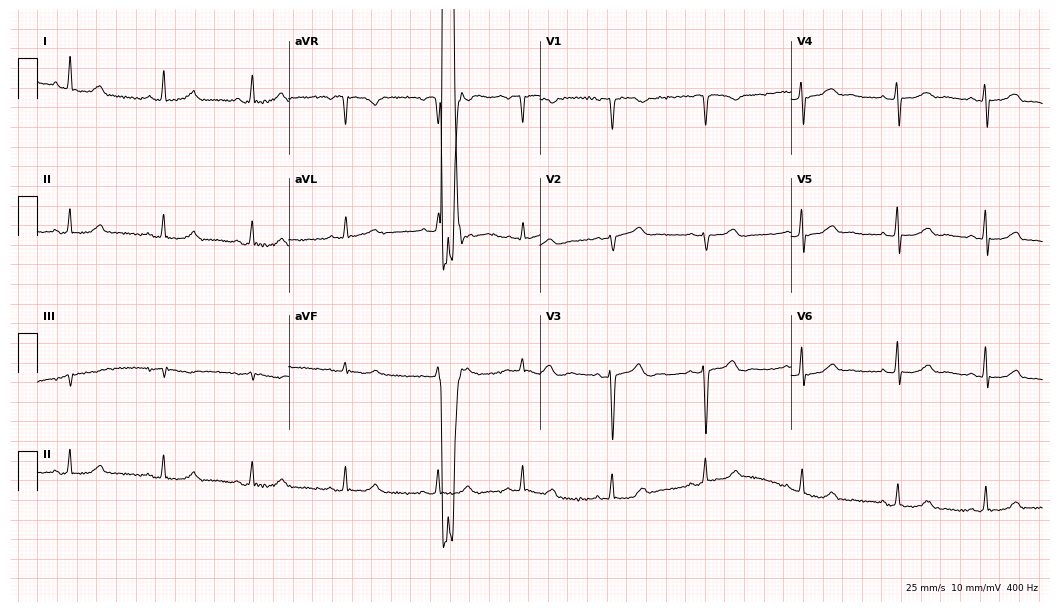
Resting 12-lead electrocardiogram. Patient: a 47-year-old woman. Read as a normal ECG.